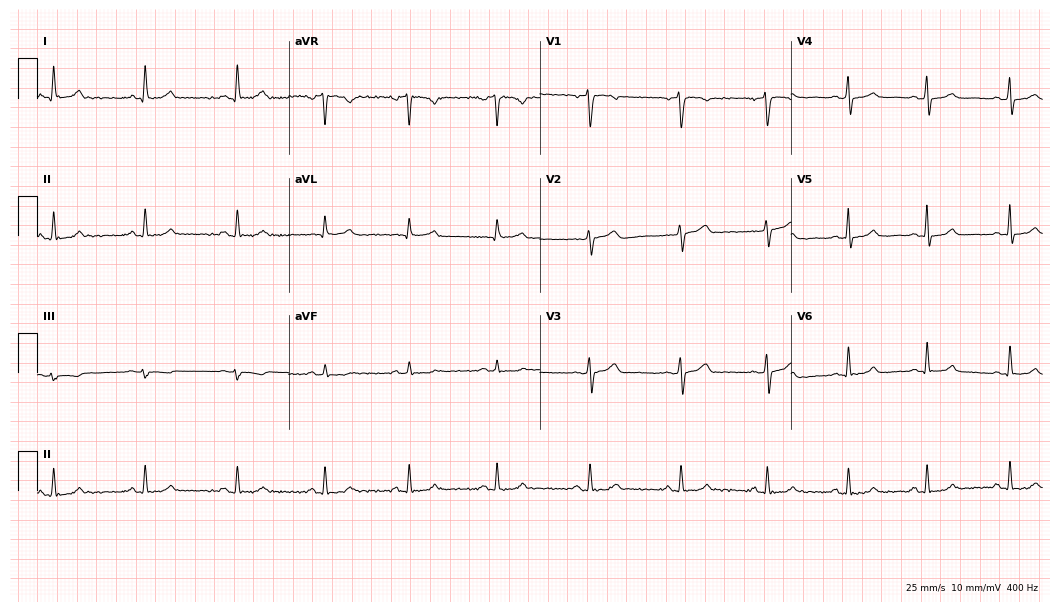
ECG — a female, 42 years old. Screened for six findings — first-degree AV block, right bundle branch block, left bundle branch block, sinus bradycardia, atrial fibrillation, sinus tachycardia — none is recorded.